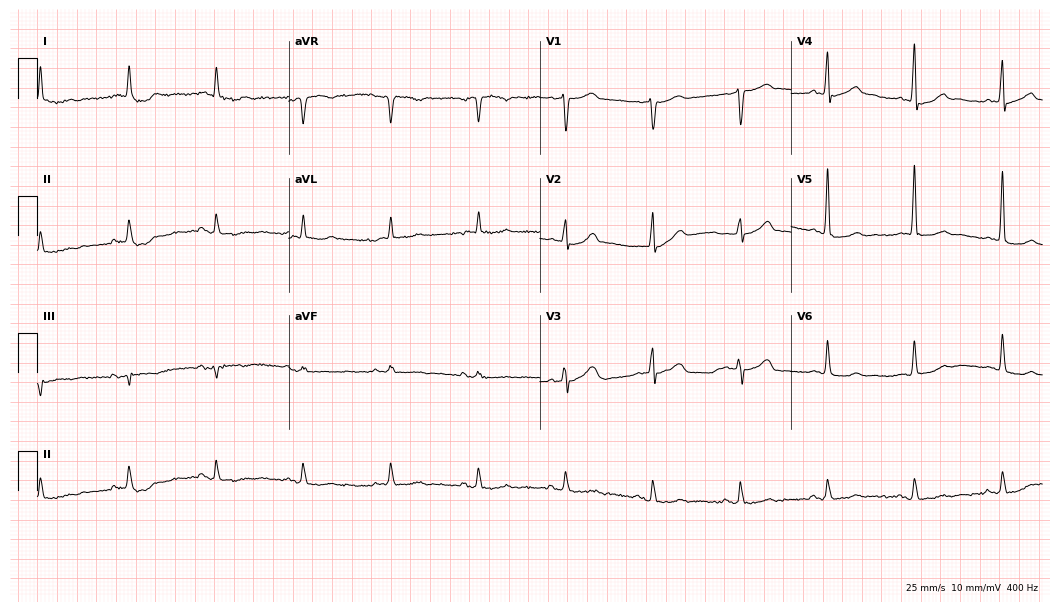
12-lead ECG from a male patient, 85 years old (10.2-second recording at 400 Hz). No first-degree AV block, right bundle branch block, left bundle branch block, sinus bradycardia, atrial fibrillation or sinus tachycardia recorded for this tracing.